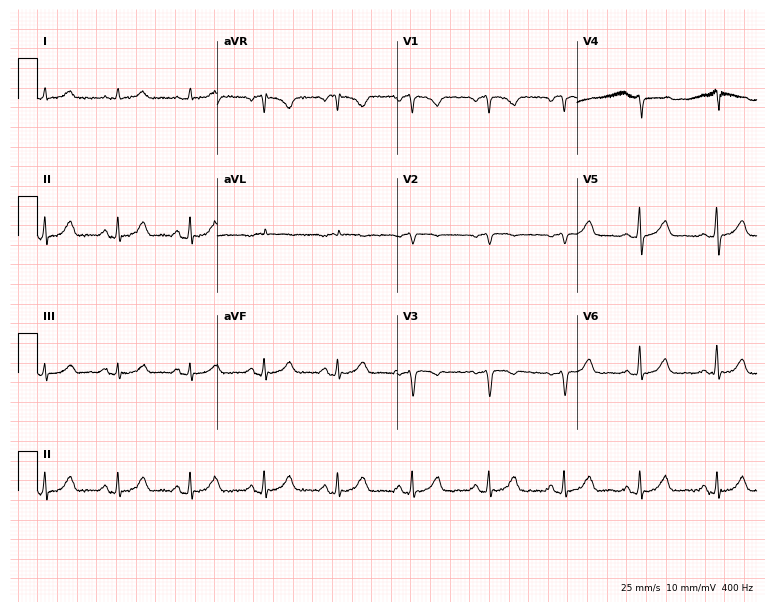
12-lead ECG from a 55-year-old female (7.3-second recording at 400 Hz). No first-degree AV block, right bundle branch block, left bundle branch block, sinus bradycardia, atrial fibrillation or sinus tachycardia recorded for this tracing.